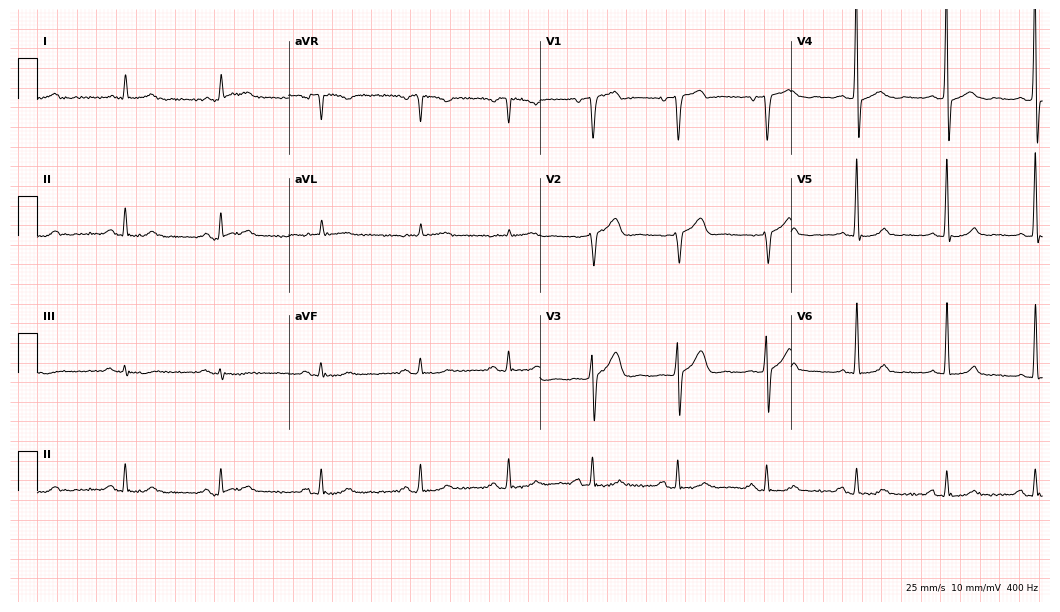
12-lead ECG (10.2-second recording at 400 Hz) from a male patient, 79 years old. Screened for six findings — first-degree AV block, right bundle branch block, left bundle branch block, sinus bradycardia, atrial fibrillation, sinus tachycardia — none is recorded.